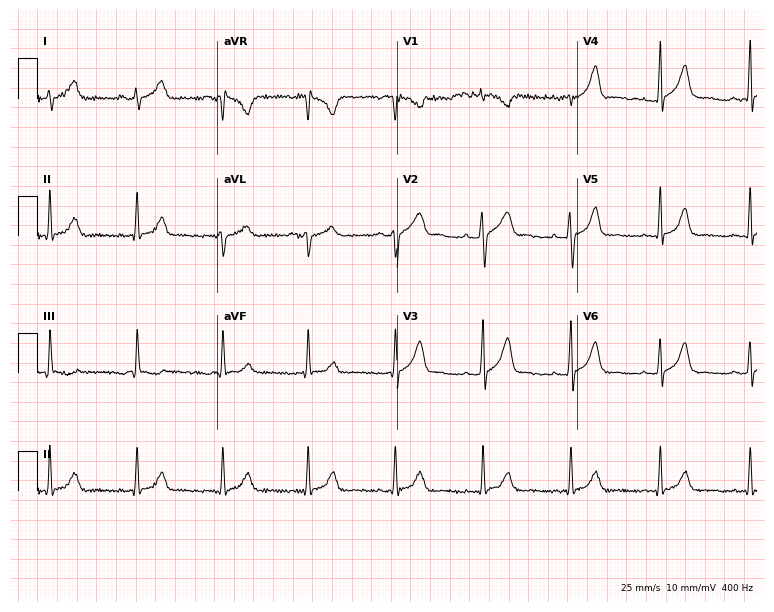
Electrocardiogram (7.3-second recording at 400 Hz), a 32-year-old male. Overall reading on record: normal ECG.